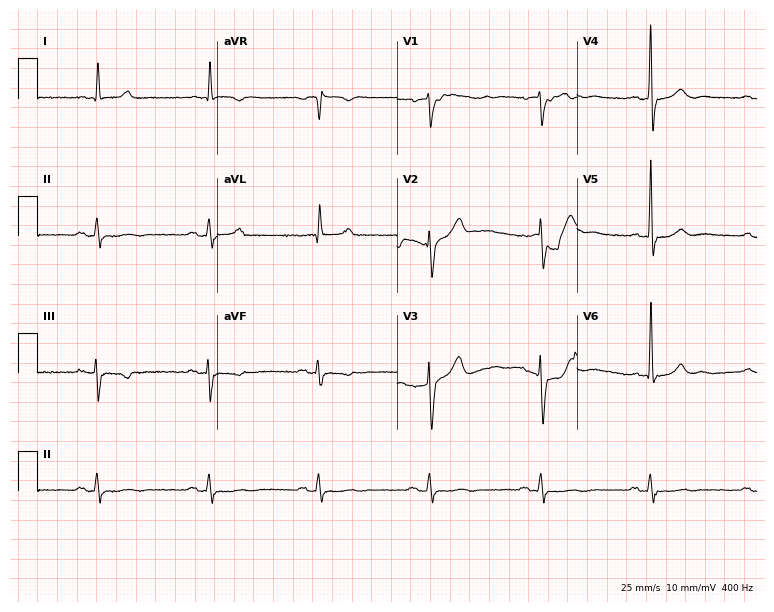
12-lead ECG from an 82-year-old male (7.3-second recording at 400 Hz). No first-degree AV block, right bundle branch block, left bundle branch block, sinus bradycardia, atrial fibrillation or sinus tachycardia recorded for this tracing.